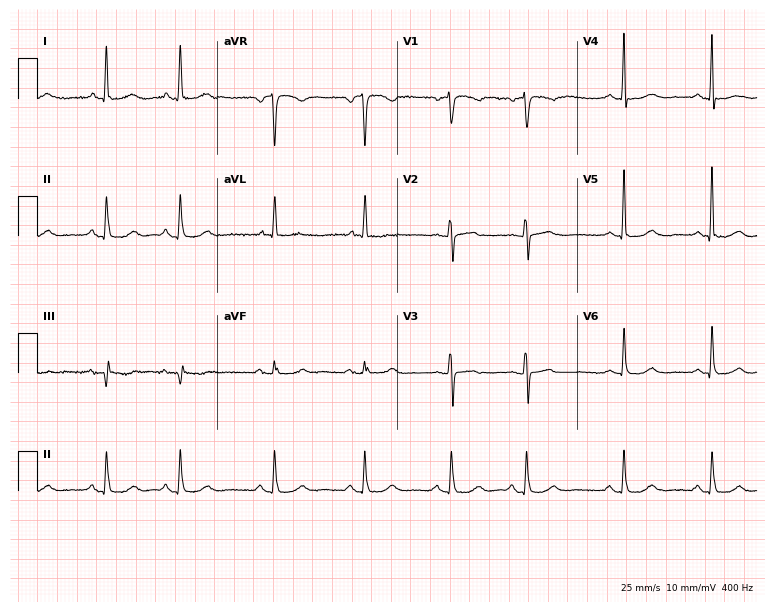
Electrocardiogram, a female, 66 years old. Overall reading on record: normal ECG.